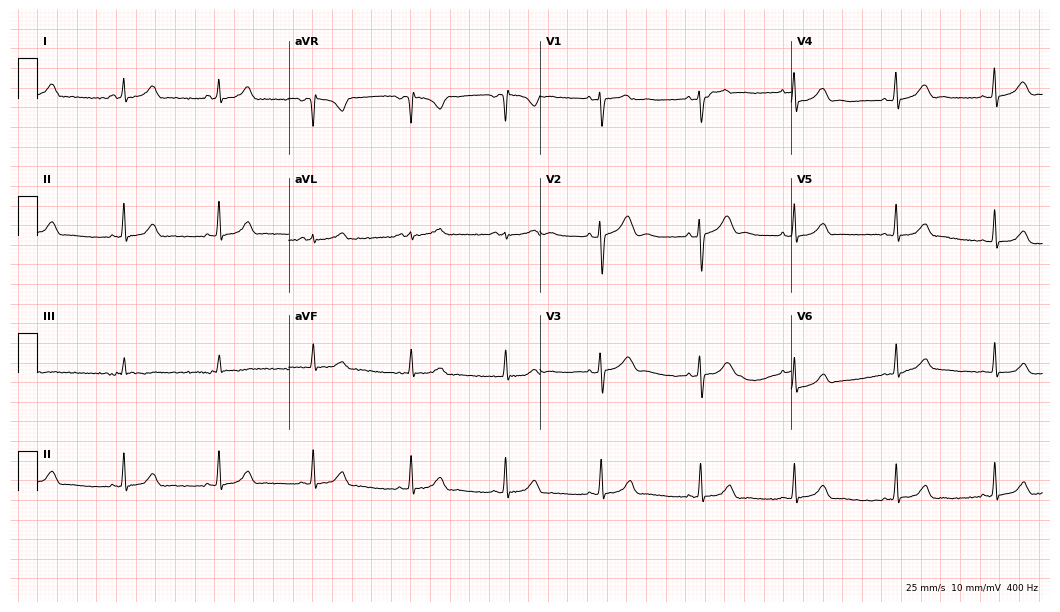
Electrocardiogram, a 22-year-old female. Of the six screened findings (first-degree AV block, right bundle branch block (RBBB), left bundle branch block (LBBB), sinus bradycardia, atrial fibrillation (AF), sinus tachycardia), none is recorded. Findings outside these six are not listed.